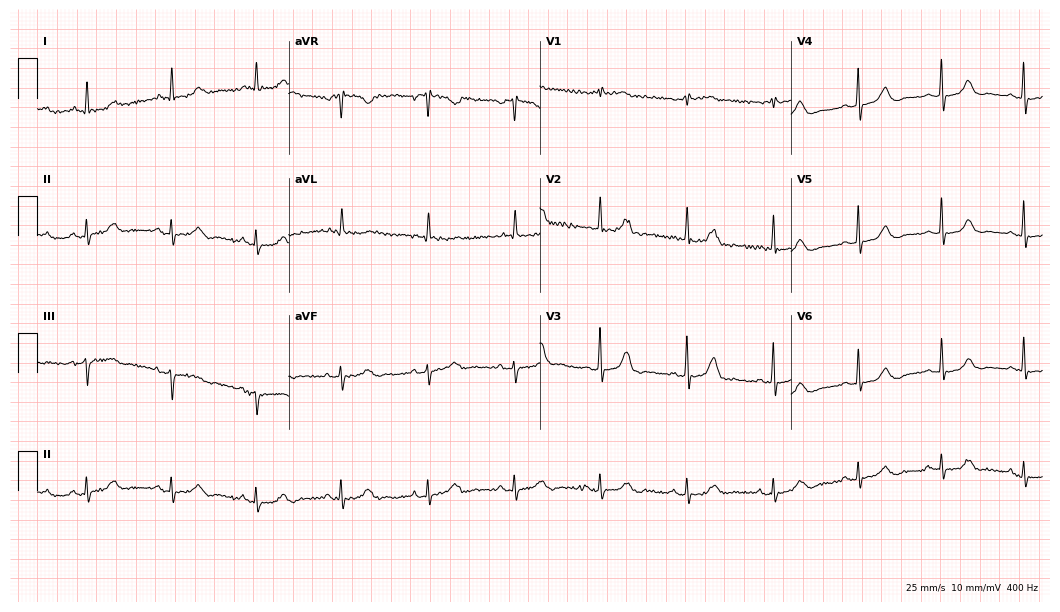
Electrocardiogram (10.2-second recording at 400 Hz), a female, 78 years old. Overall reading on record: normal ECG.